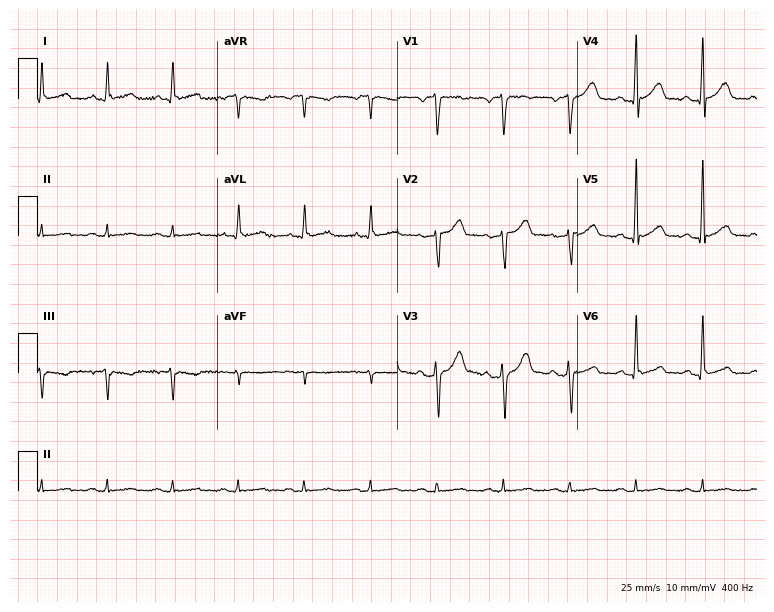
Resting 12-lead electrocardiogram (7.3-second recording at 400 Hz). Patient: a male, 58 years old. Read as a normal ECG.